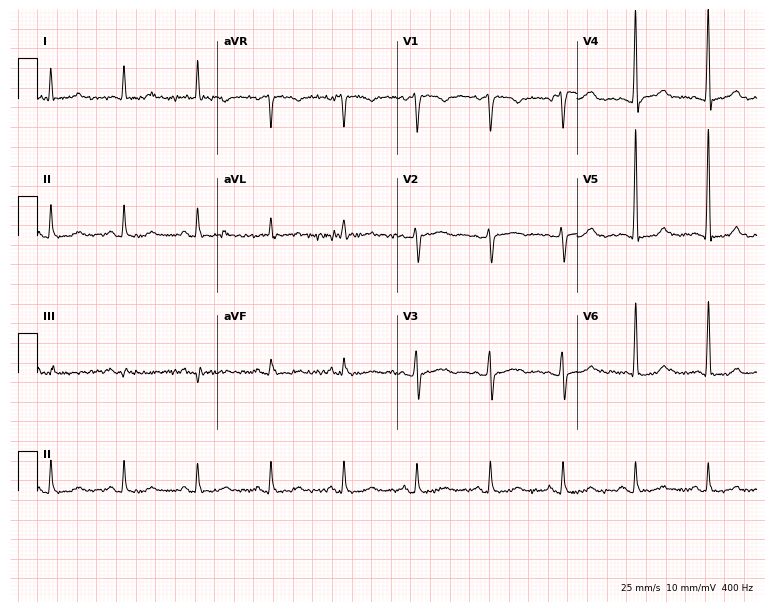
12-lead ECG from a 72-year-old male patient (7.3-second recording at 400 Hz). Recorded interpretation: within normal limits.